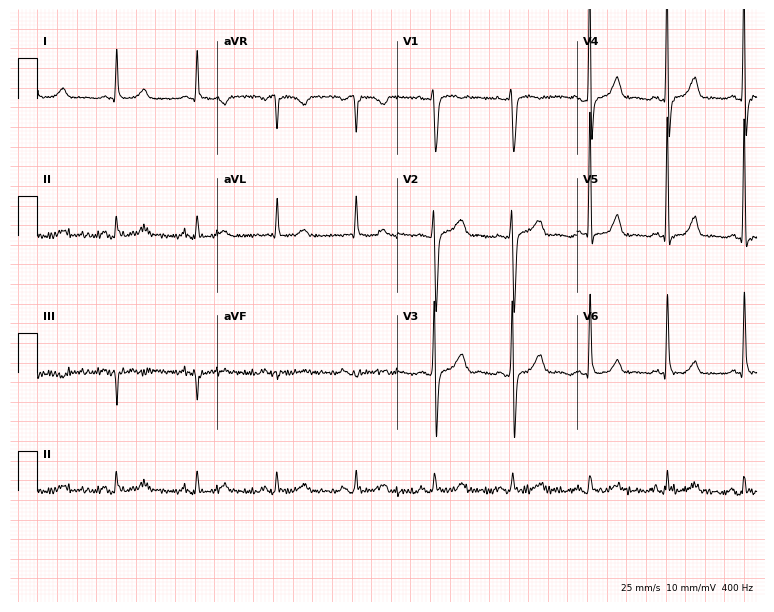
Electrocardiogram, a 63-year-old woman. Overall reading on record: normal ECG.